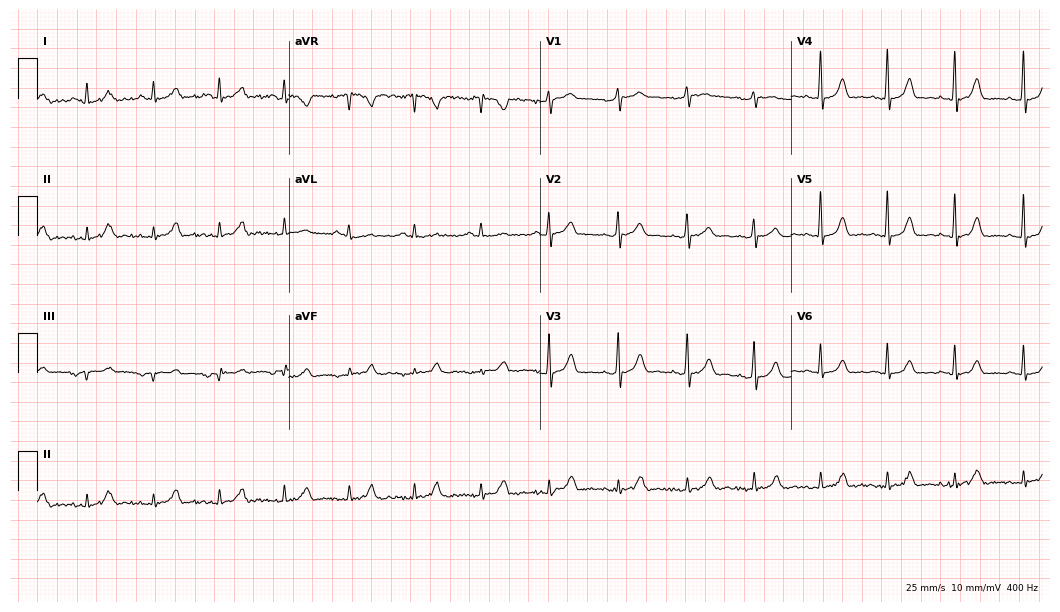
12-lead ECG (10.2-second recording at 400 Hz) from a 61-year-old female patient. Screened for six findings — first-degree AV block, right bundle branch block, left bundle branch block, sinus bradycardia, atrial fibrillation, sinus tachycardia — none is recorded. Findings outside these six are not listed.